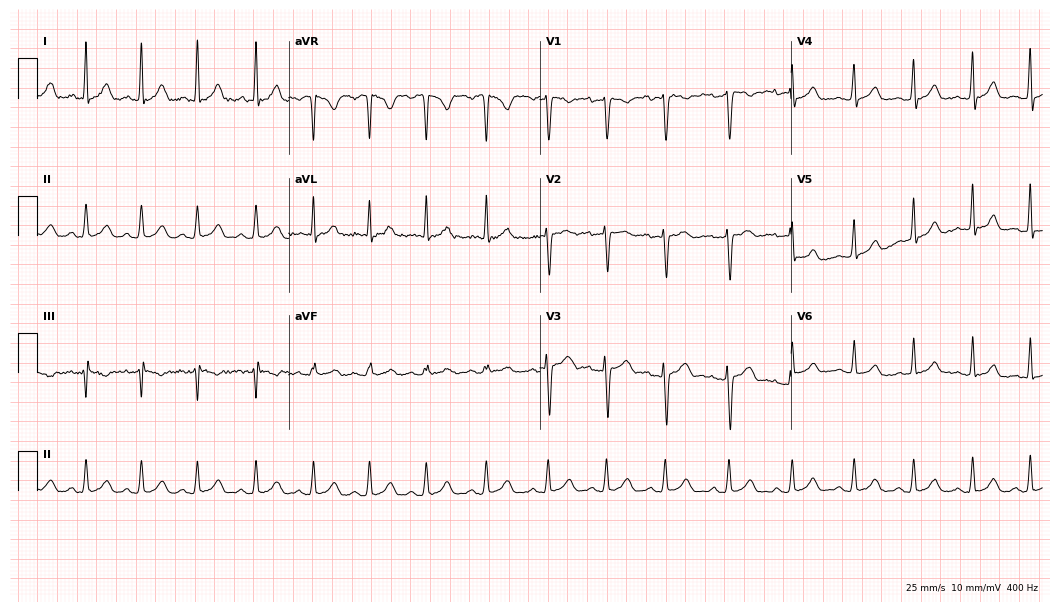
Standard 12-lead ECG recorded from a woman, 28 years old (10.2-second recording at 400 Hz). The tracing shows sinus tachycardia (a sinus rate of 100 beats per minute or more).